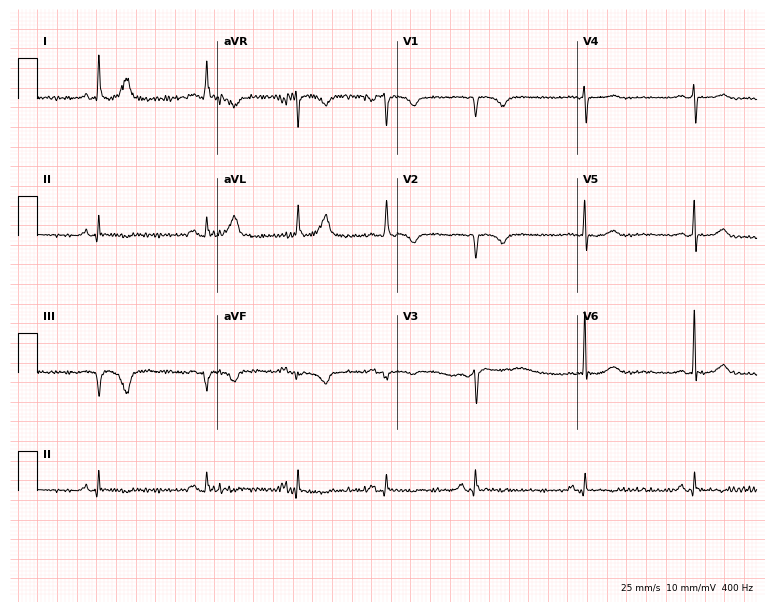
12-lead ECG from a 76-year-old woman. Screened for six findings — first-degree AV block, right bundle branch block (RBBB), left bundle branch block (LBBB), sinus bradycardia, atrial fibrillation (AF), sinus tachycardia — none is recorded.